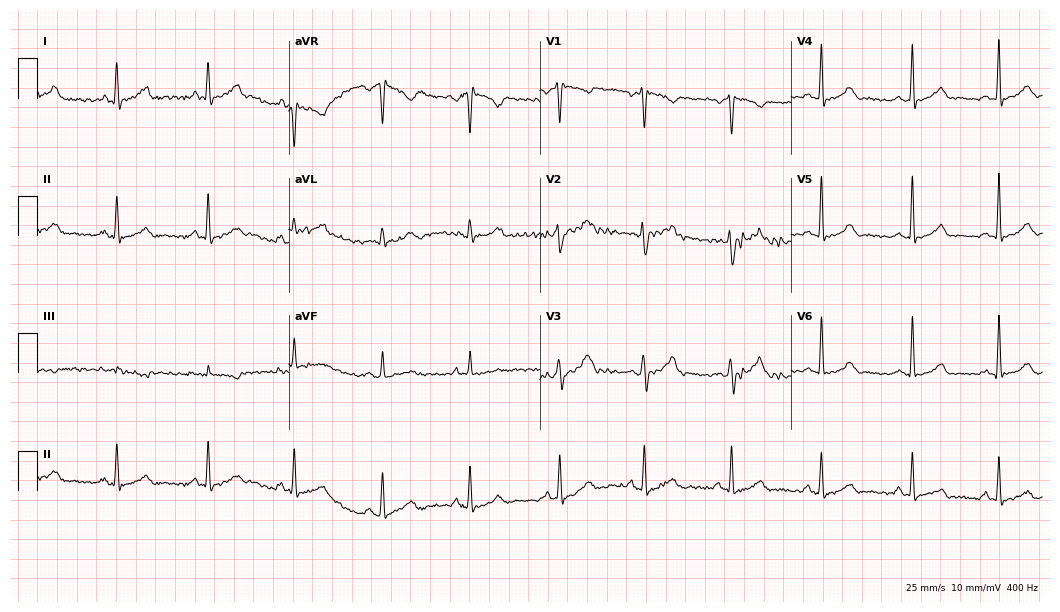
12-lead ECG from a 28-year-old female. Labelled as a normal ECG.